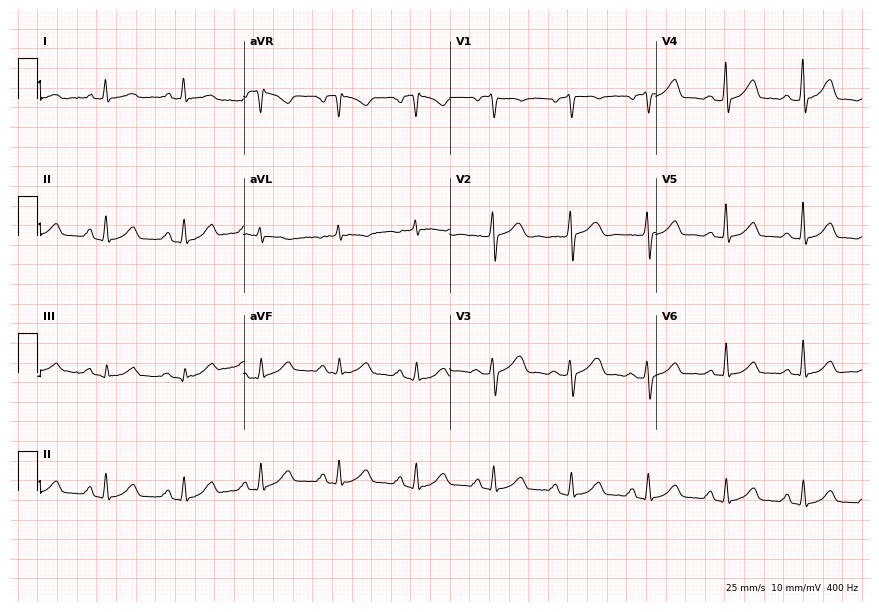
12-lead ECG from a 54-year-old female. Recorded interpretation: within normal limits.